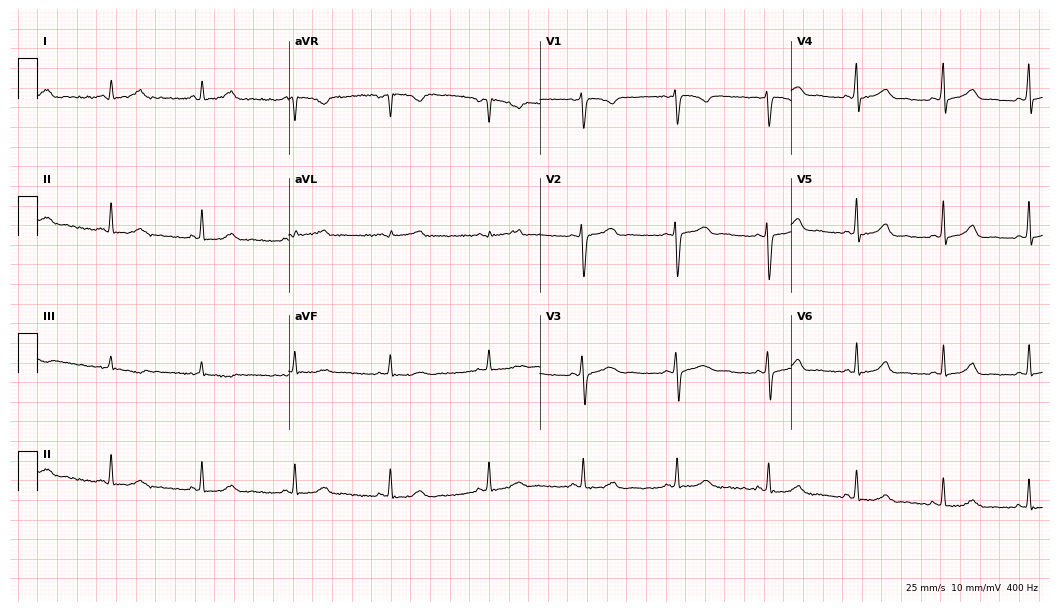
12-lead ECG from a 41-year-old woman (10.2-second recording at 400 Hz). No first-degree AV block, right bundle branch block, left bundle branch block, sinus bradycardia, atrial fibrillation or sinus tachycardia recorded for this tracing.